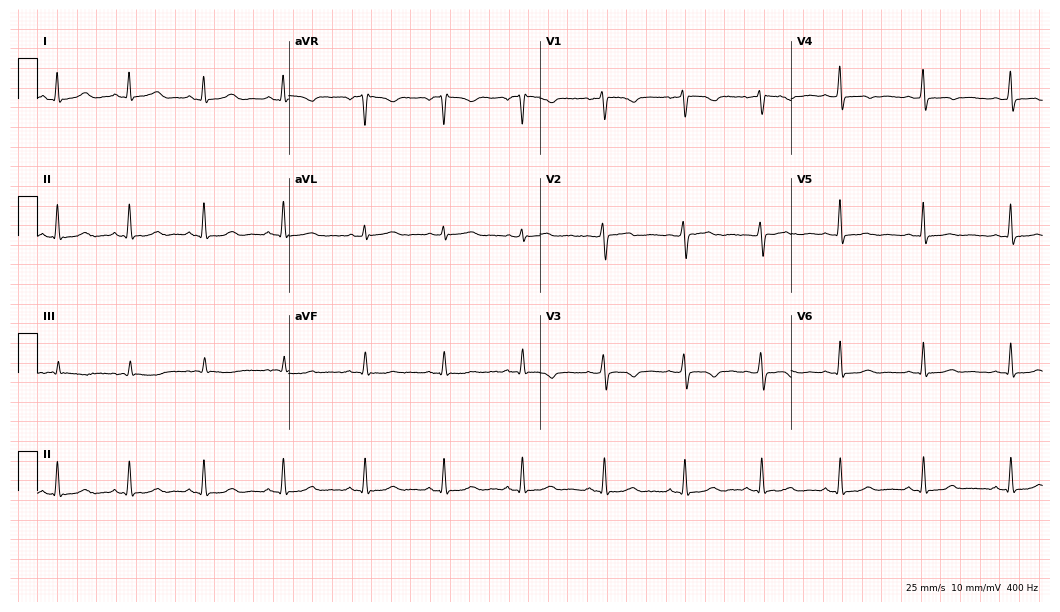
Electrocardiogram (10.2-second recording at 400 Hz), a 34-year-old female. Of the six screened findings (first-degree AV block, right bundle branch block, left bundle branch block, sinus bradycardia, atrial fibrillation, sinus tachycardia), none is recorded. Findings outside these six are not listed.